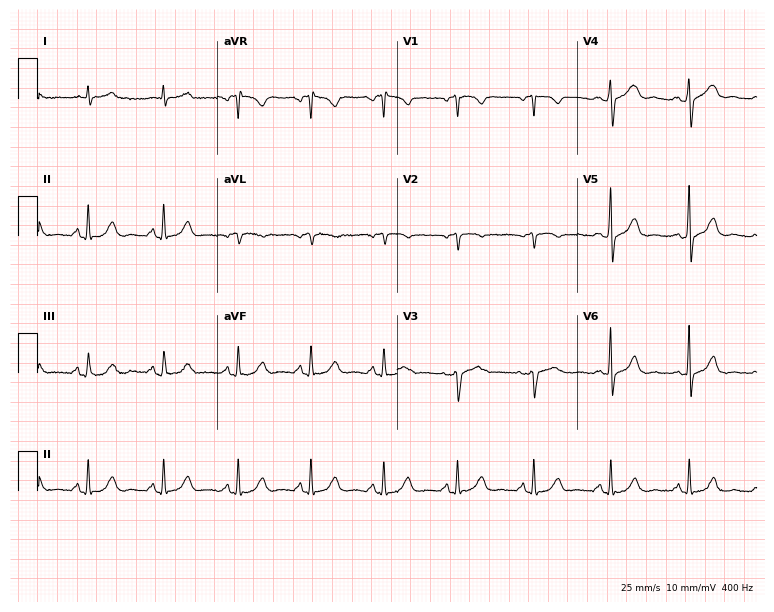
12-lead ECG (7.3-second recording at 400 Hz) from a male, 61 years old. Labelled as a normal ECG.